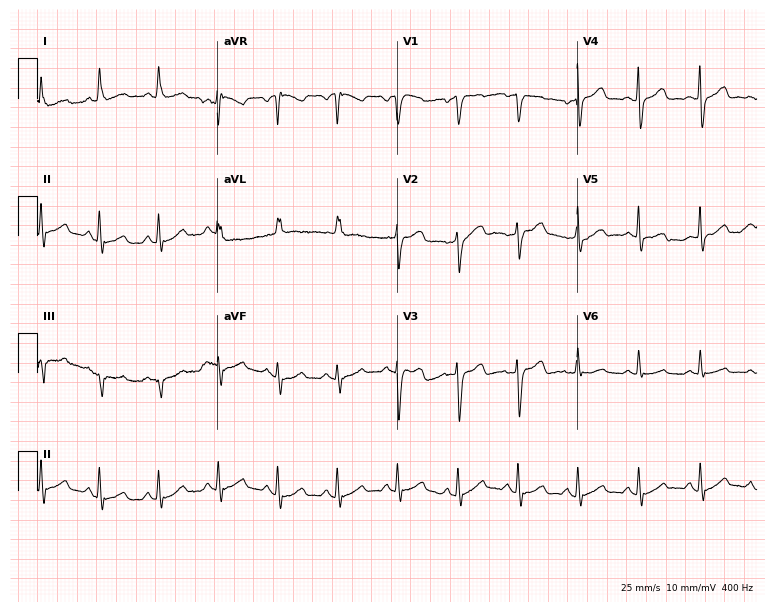
ECG — a woman, 38 years old. Screened for six findings — first-degree AV block, right bundle branch block, left bundle branch block, sinus bradycardia, atrial fibrillation, sinus tachycardia — none is recorded. Only these six findings were labelled.